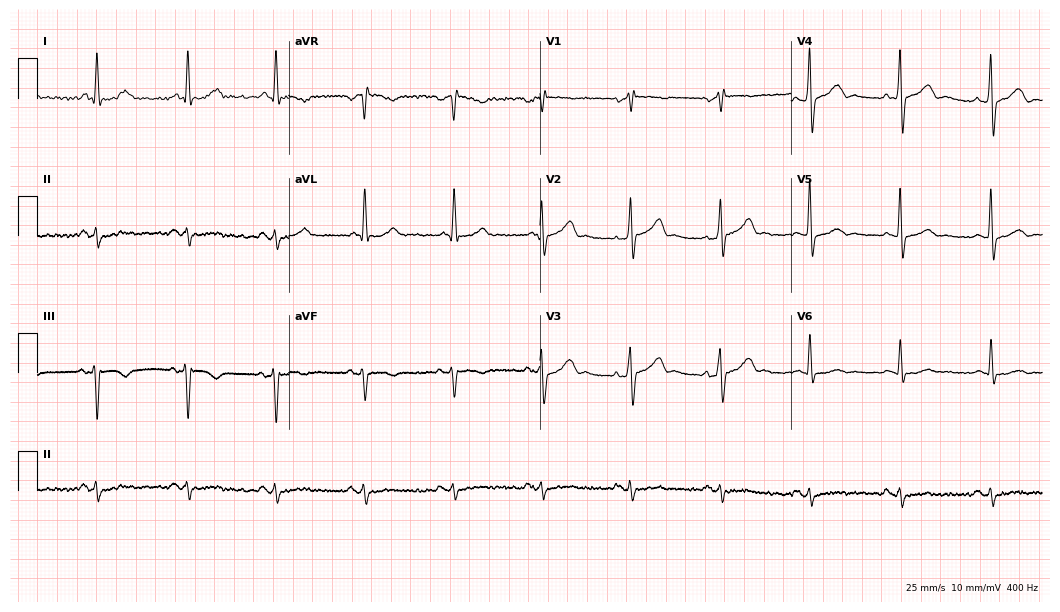
Resting 12-lead electrocardiogram. Patient: a 66-year-old man. None of these six findings is recorded: first-degree AV block, right bundle branch block, left bundle branch block, sinus bradycardia, atrial fibrillation, sinus tachycardia. Only these six findings were labelled.